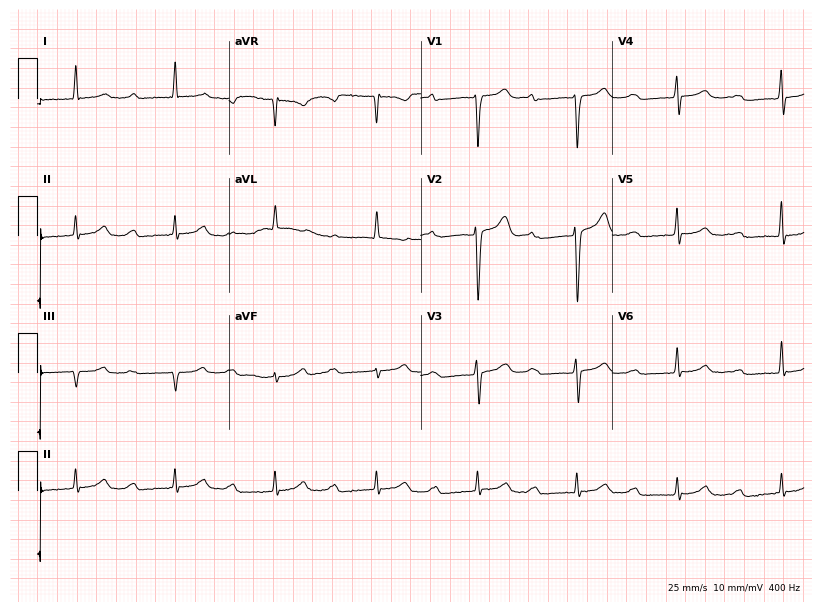
12-lead ECG from a 66-year-old male patient. Findings include first-degree AV block.